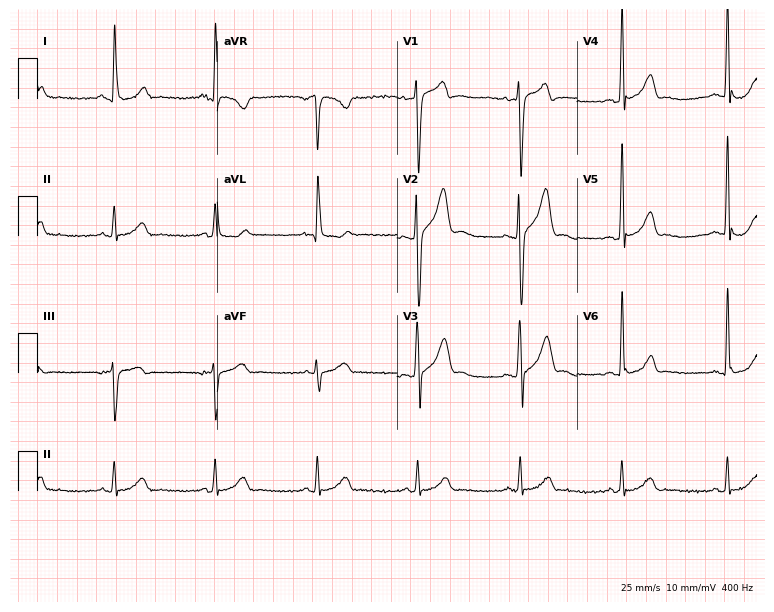
12-lead ECG from a man, 34 years old (7.3-second recording at 400 Hz). Recorded interpretation: within normal limits.